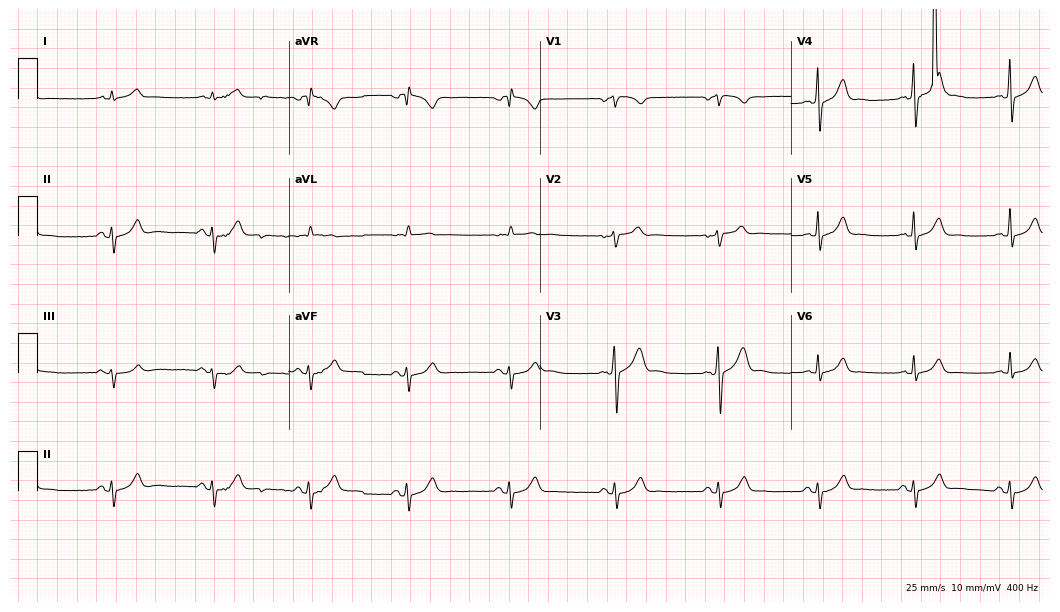
ECG — a 42-year-old man. Screened for six findings — first-degree AV block, right bundle branch block, left bundle branch block, sinus bradycardia, atrial fibrillation, sinus tachycardia — none is recorded.